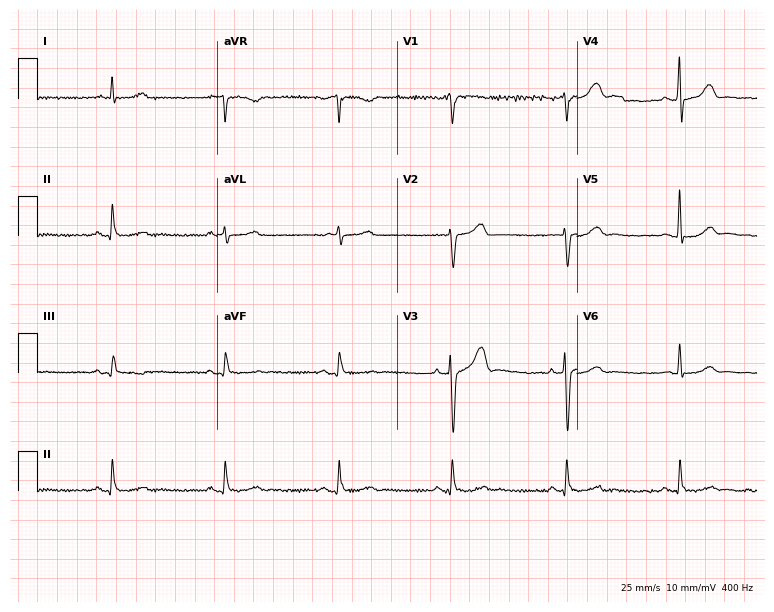
Electrocardiogram, a male patient, 80 years old. Overall reading on record: normal ECG.